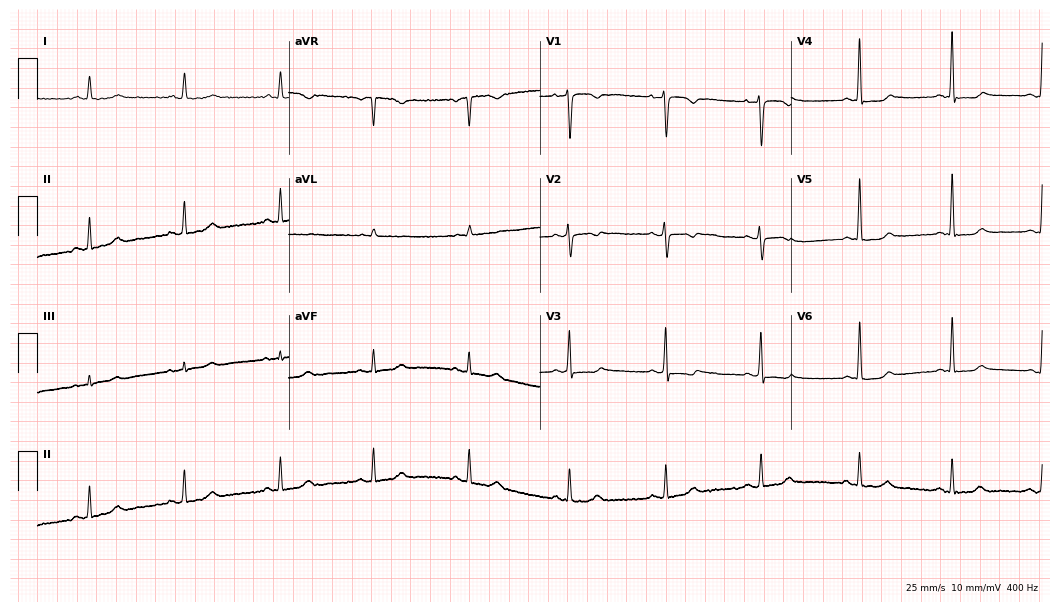
12-lead ECG from a 47-year-old female. Screened for six findings — first-degree AV block, right bundle branch block (RBBB), left bundle branch block (LBBB), sinus bradycardia, atrial fibrillation (AF), sinus tachycardia — none is recorded. Findings outside these six are not listed.